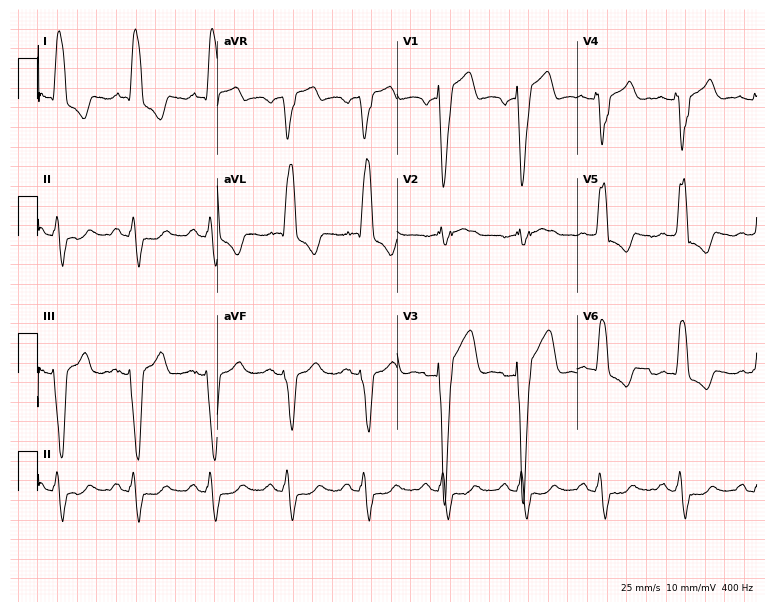
12-lead ECG from a 46-year-old man. Screened for six findings — first-degree AV block, right bundle branch block, left bundle branch block, sinus bradycardia, atrial fibrillation, sinus tachycardia — none is recorded. Findings outside these six are not listed.